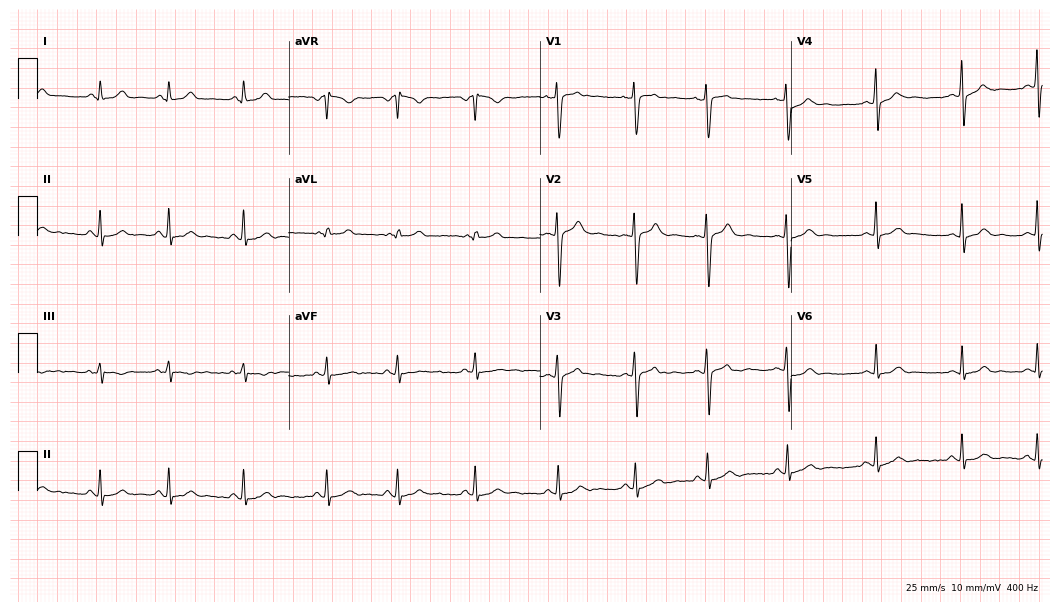
ECG — a 20-year-old woman. Labelled as a normal ECG.